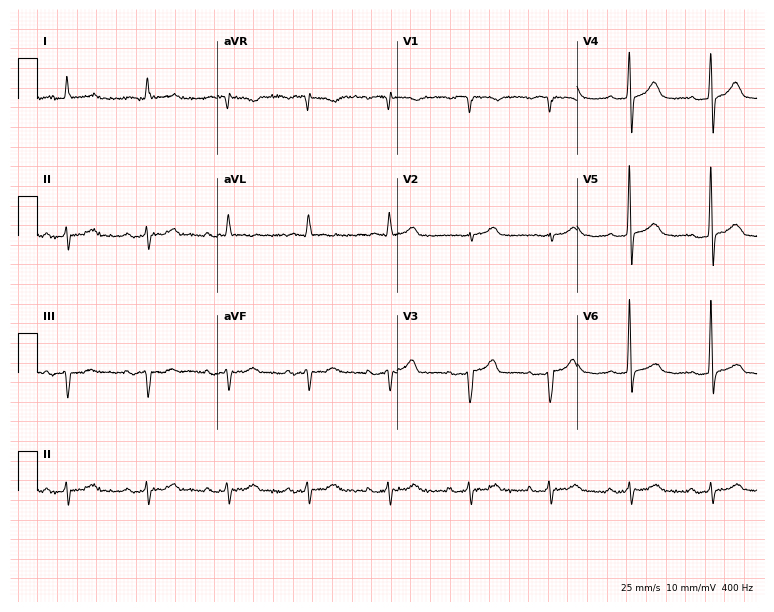
12-lead ECG from a 72-year-old male patient. Screened for six findings — first-degree AV block, right bundle branch block, left bundle branch block, sinus bradycardia, atrial fibrillation, sinus tachycardia — none is recorded.